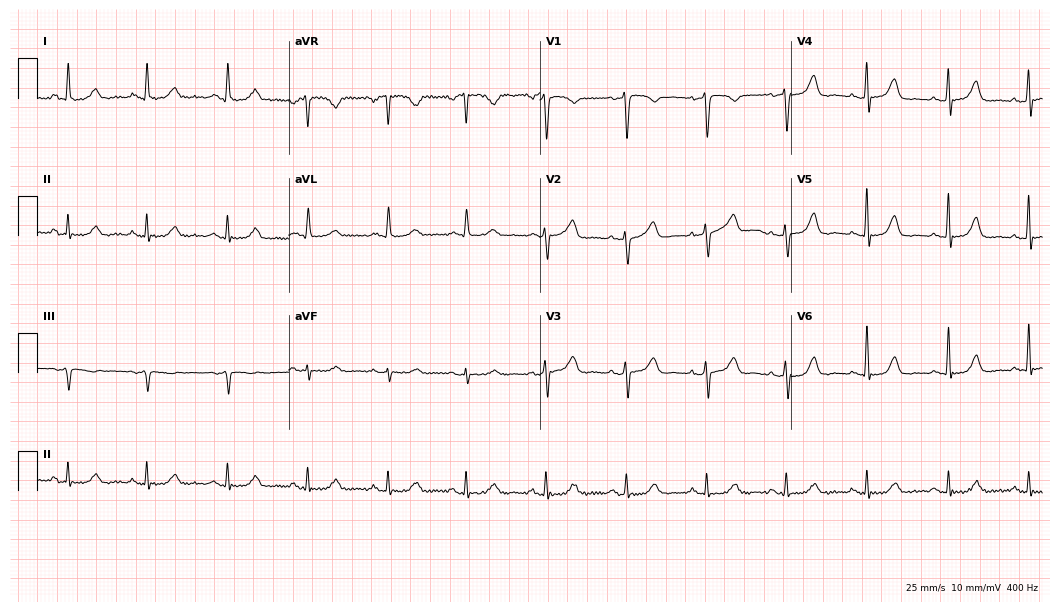
Electrocardiogram, a female patient, 53 years old. Overall reading on record: normal ECG.